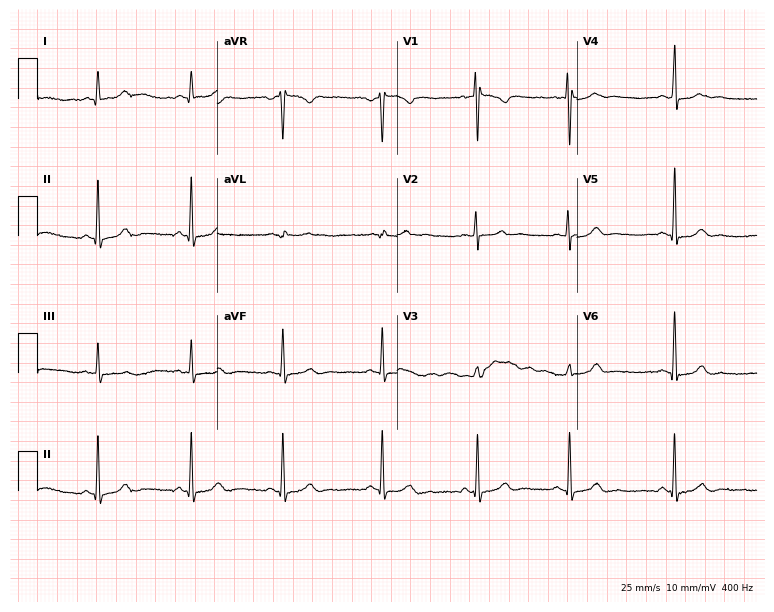
Standard 12-lead ECG recorded from a 29-year-old woman (7.3-second recording at 400 Hz). Read as a normal ECG.